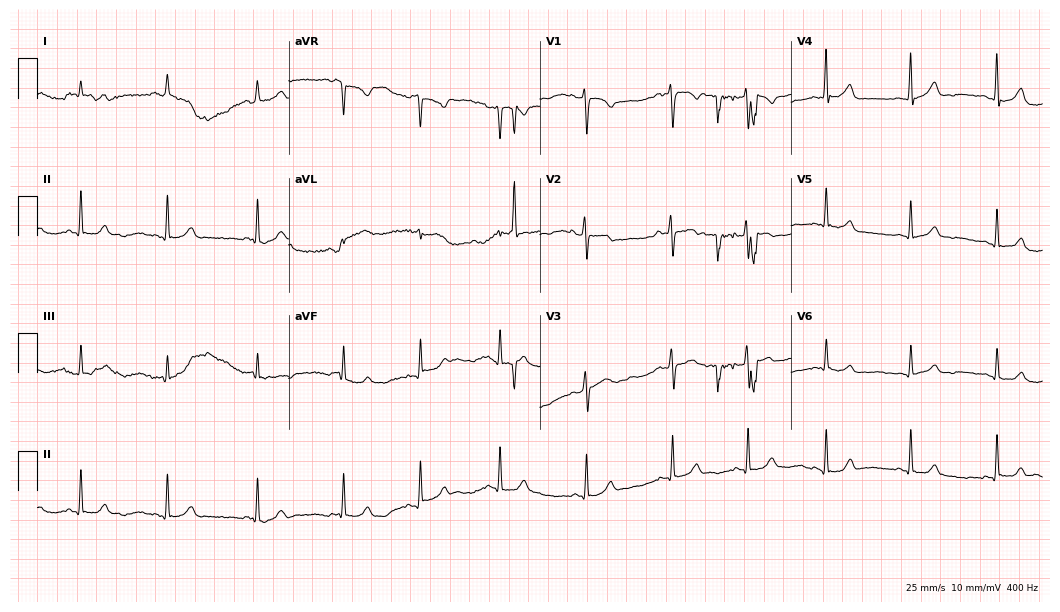
12-lead ECG from a female, 21 years old. Recorded interpretation: within normal limits.